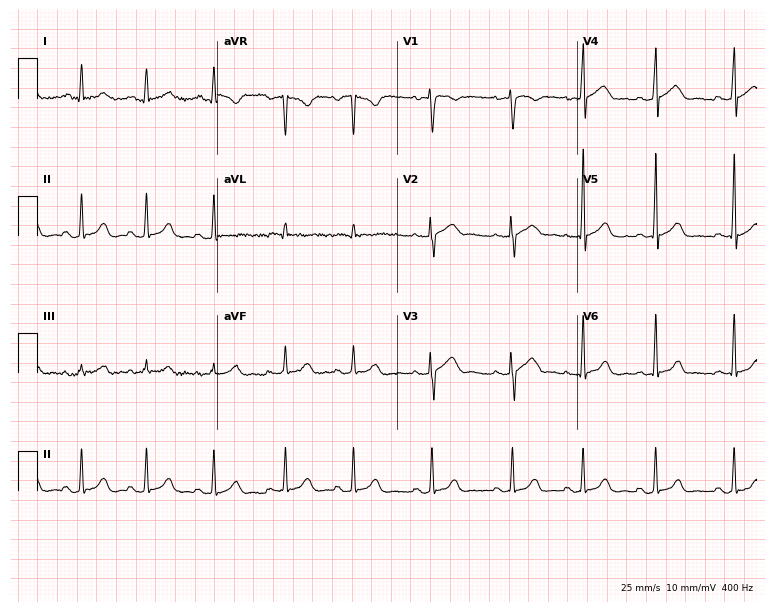
Resting 12-lead electrocardiogram (7.3-second recording at 400 Hz). Patient: an 18-year-old woman. Read as a normal ECG.